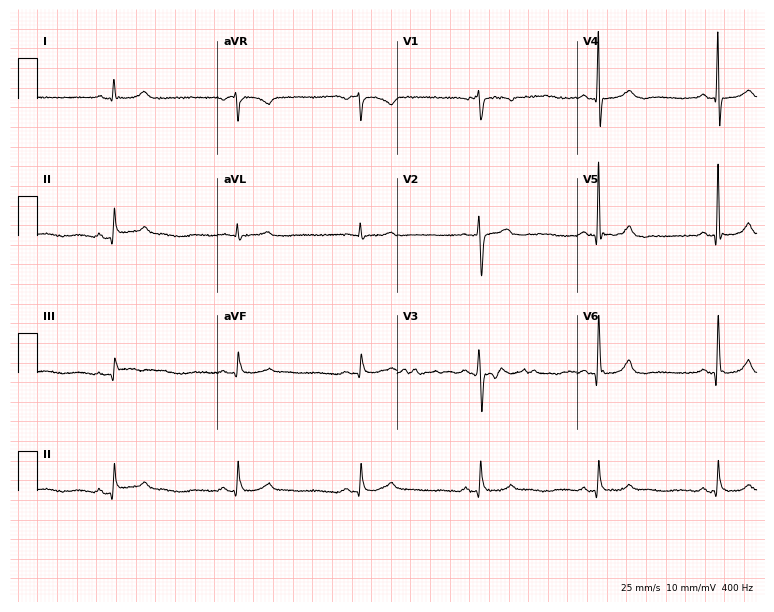
12-lead ECG from a male patient, 58 years old (7.3-second recording at 400 Hz). Shows sinus bradycardia (a sinus rate of 50 beats per minute or less).